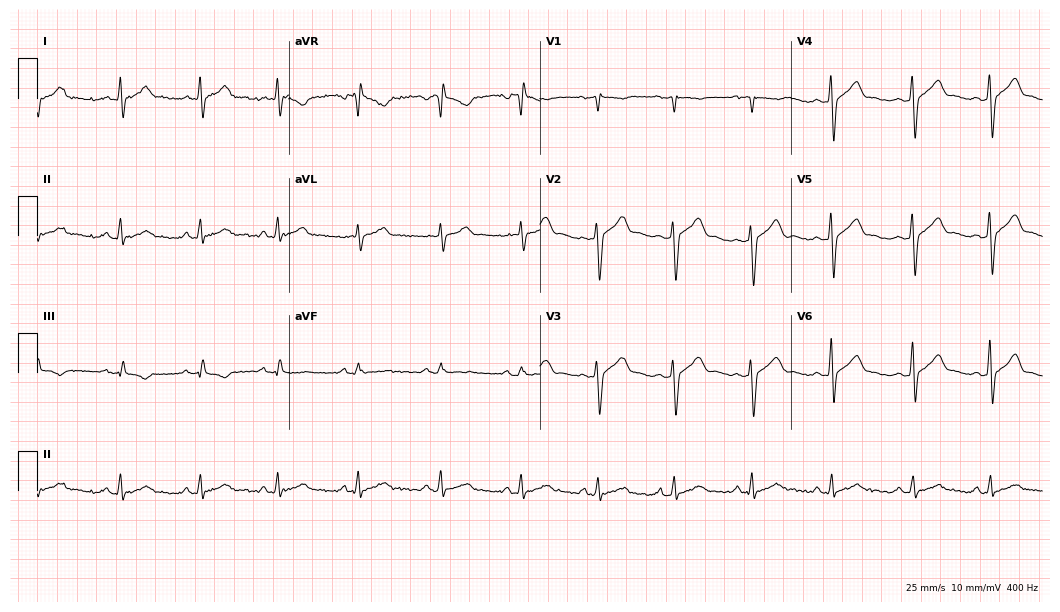
ECG (10.2-second recording at 400 Hz) — a male patient, 37 years old. Labelled as a normal ECG.